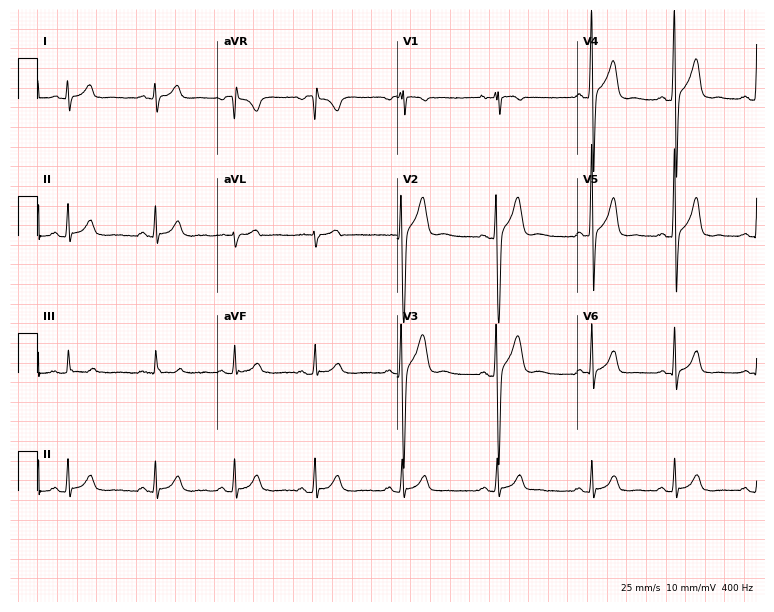
Resting 12-lead electrocardiogram (7.3-second recording at 400 Hz). Patient: a 27-year-old male. None of these six findings is recorded: first-degree AV block, right bundle branch block (RBBB), left bundle branch block (LBBB), sinus bradycardia, atrial fibrillation (AF), sinus tachycardia. Only these six findings were labelled.